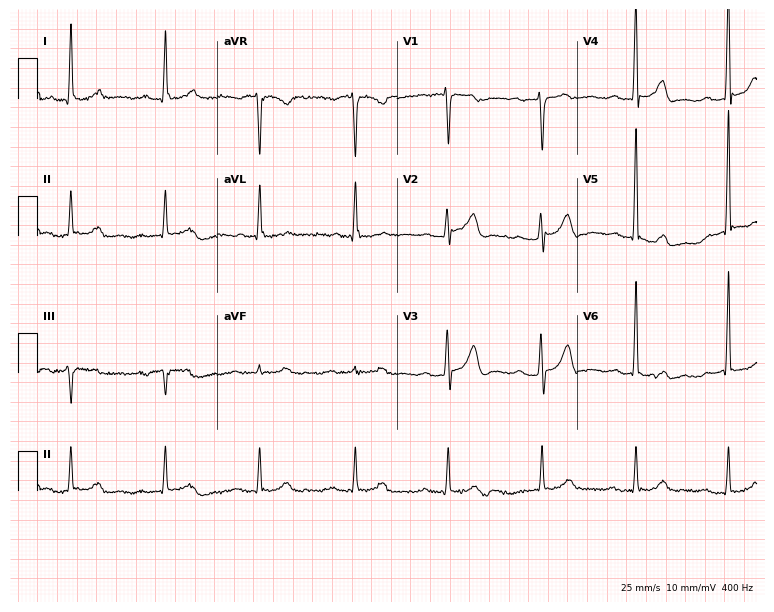
ECG — a 71-year-old male. Labelled as a normal ECG.